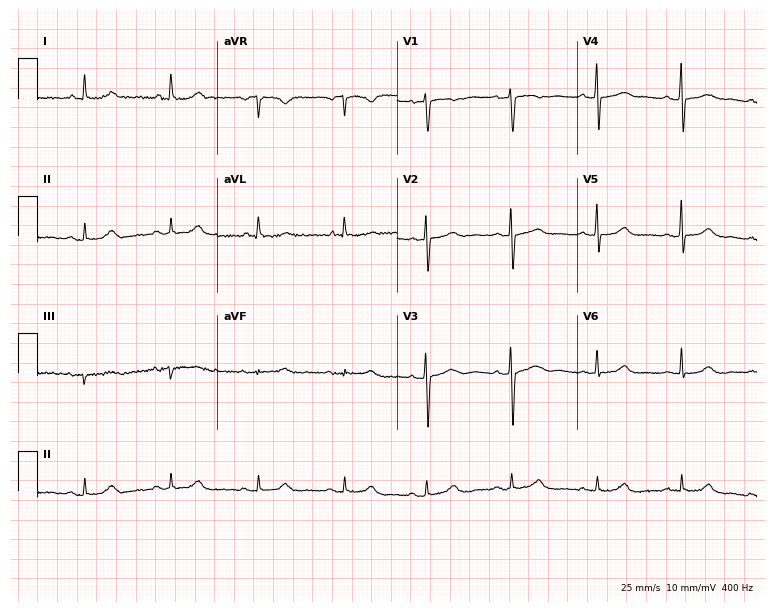
Electrocardiogram (7.3-second recording at 400 Hz), a 58-year-old woman. Overall reading on record: normal ECG.